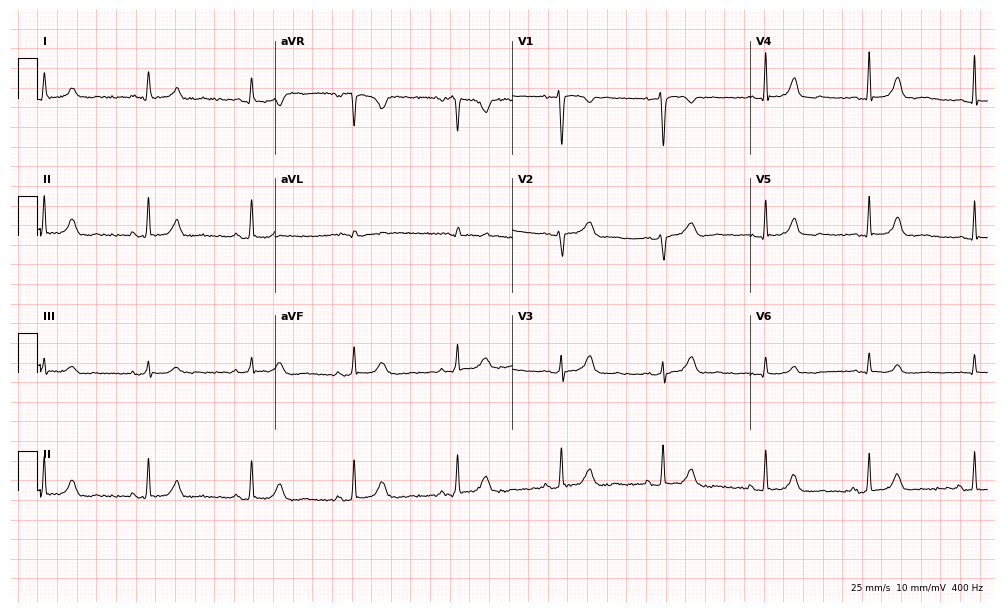
12-lead ECG (9.7-second recording at 400 Hz) from a 52-year-old female patient. Labelled as a normal ECG.